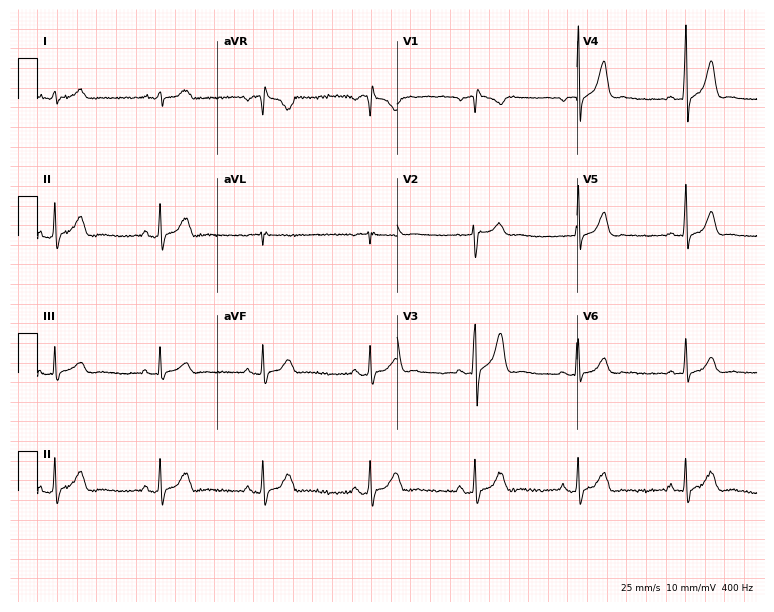
ECG (7.3-second recording at 400 Hz) — a 32-year-old man. Screened for six findings — first-degree AV block, right bundle branch block, left bundle branch block, sinus bradycardia, atrial fibrillation, sinus tachycardia — none is recorded. Only these six findings were labelled.